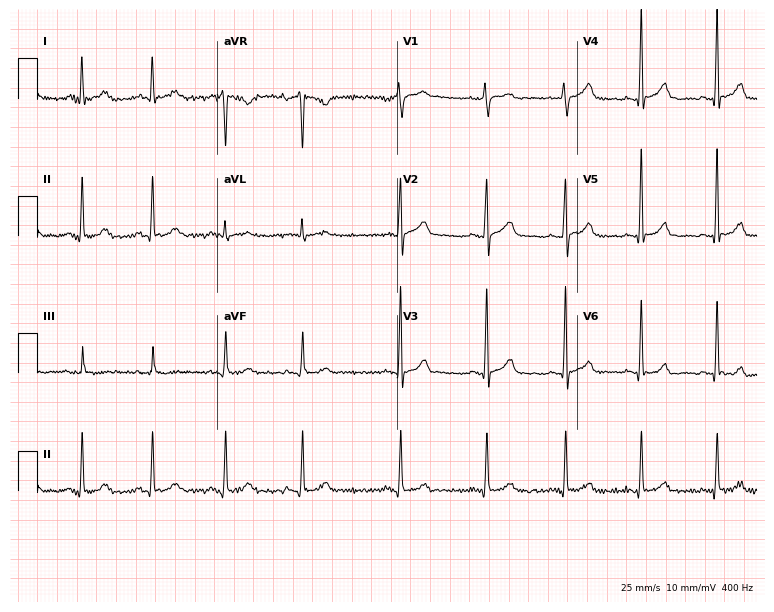
Electrocardiogram (7.3-second recording at 400 Hz), a 36-year-old male. Overall reading on record: normal ECG.